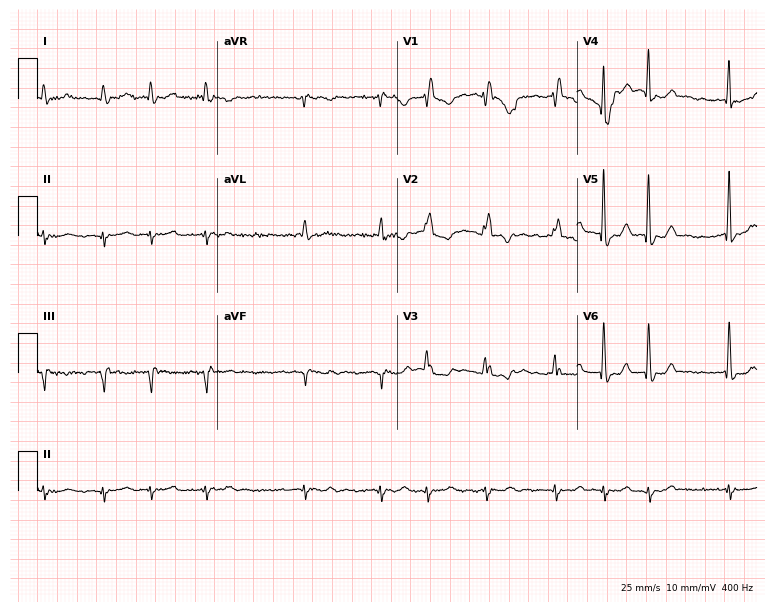
12-lead ECG (7.3-second recording at 400 Hz) from a man, 77 years old. Findings include right bundle branch block, atrial fibrillation.